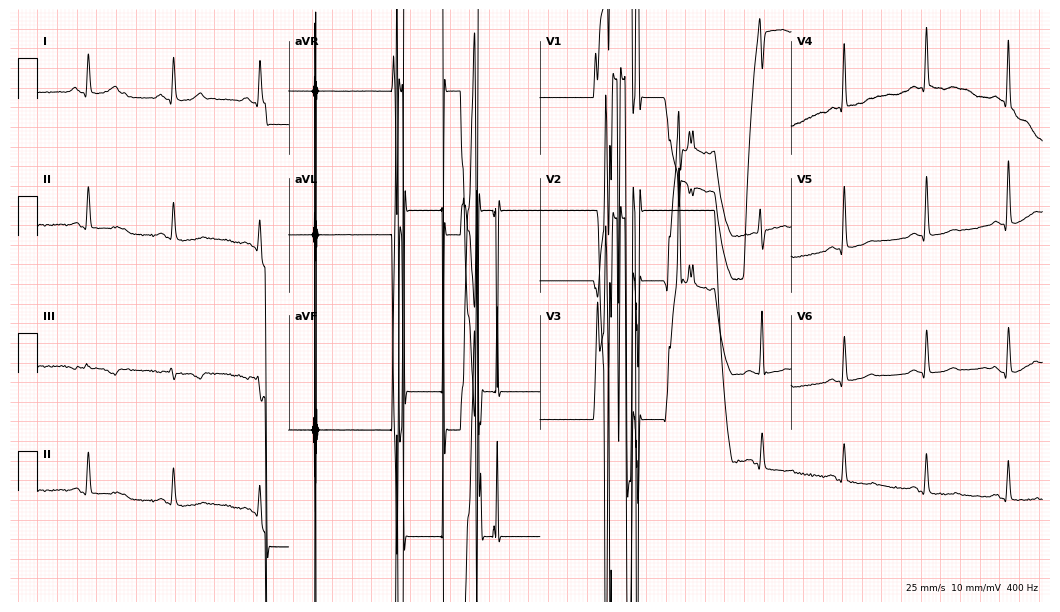
12-lead ECG from a female, 61 years old. Screened for six findings — first-degree AV block, right bundle branch block, left bundle branch block, sinus bradycardia, atrial fibrillation, sinus tachycardia — none is recorded. Other findings, if any, are not listed.